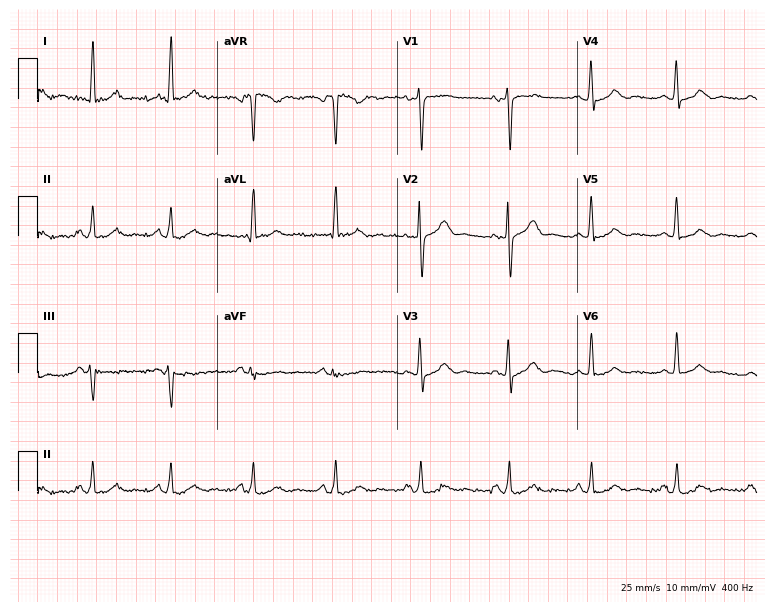
12-lead ECG (7.3-second recording at 400 Hz) from a 69-year-old woman. Labelled as a normal ECG.